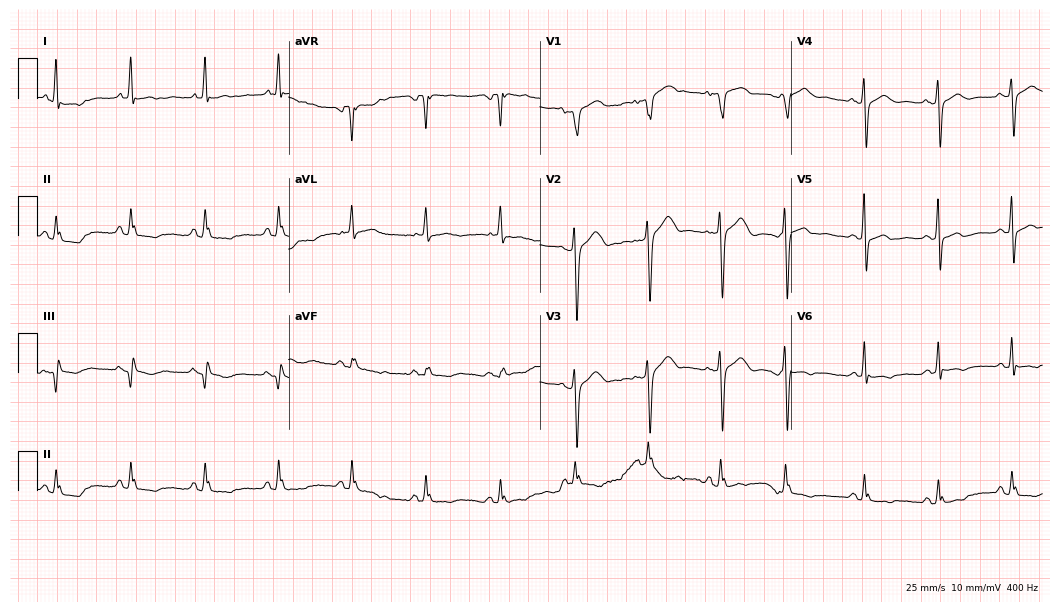
Electrocardiogram, a 78-year-old female patient. Of the six screened findings (first-degree AV block, right bundle branch block (RBBB), left bundle branch block (LBBB), sinus bradycardia, atrial fibrillation (AF), sinus tachycardia), none is recorded. Only these six findings were labelled.